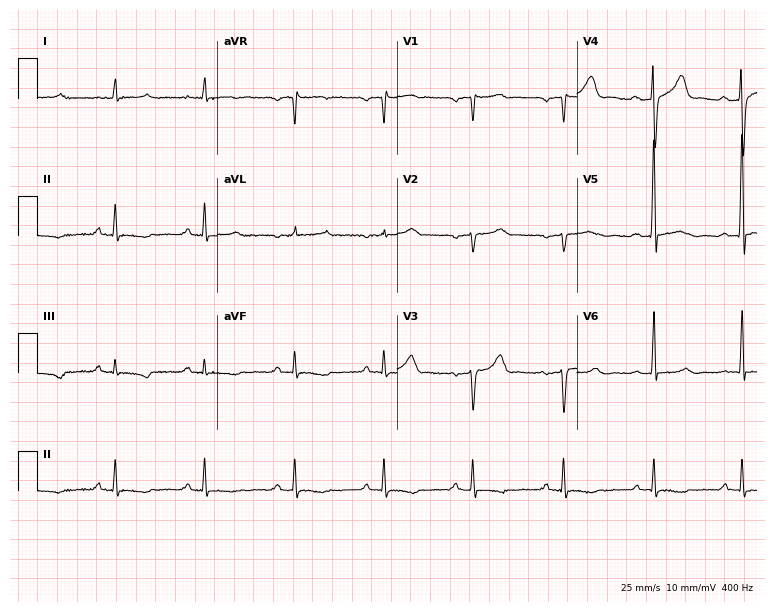
Electrocardiogram (7.3-second recording at 400 Hz), a 62-year-old male. Of the six screened findings (first-degree AV block, right bundle branch block, left bundle branch block, sinus bradycardia, atrial fibrillation, sinus tachycardia), none is recorded.